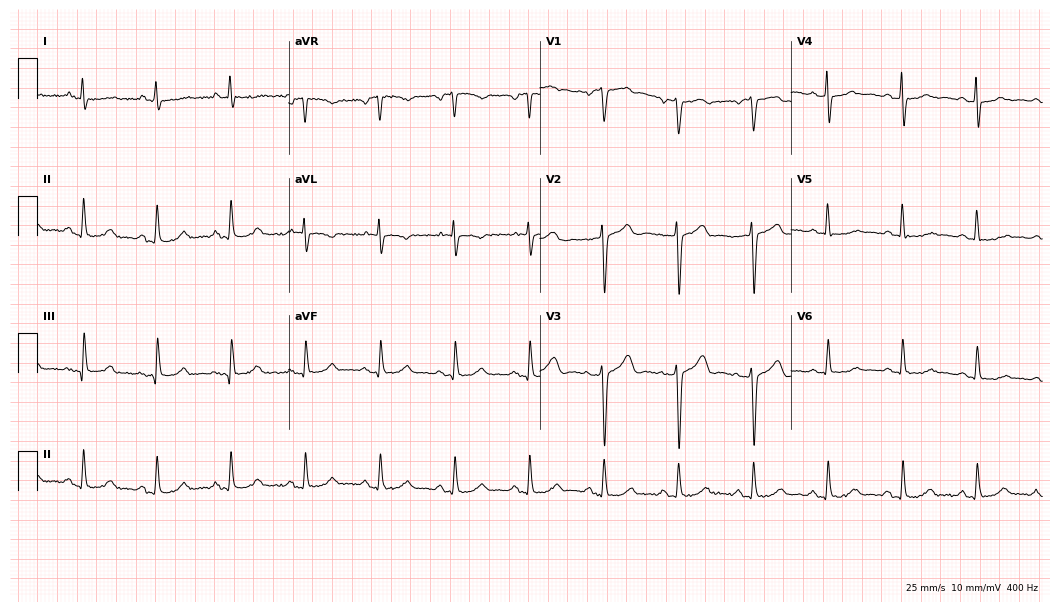
ECG — a woman, 53 years old. Screened for six findings — first-degree AV block, right bundle branch block, left bundle branch block, sinus bradycardia, atrial fibrillation, sinus tachycardia — none is recorded.